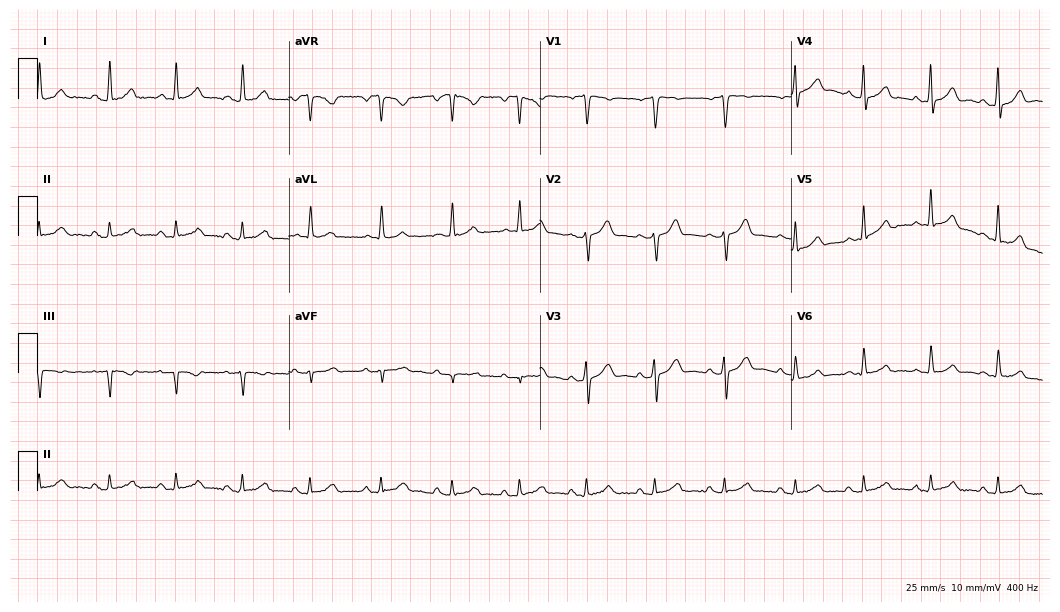
Resting 12-lead electrocardiogram. Patient: a man, 42 years old. Read as a normal ECG.